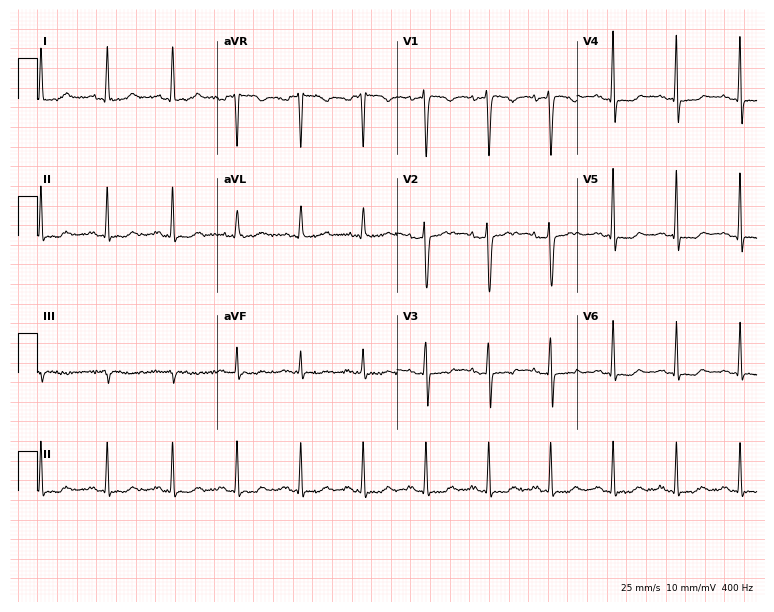
12-lead ECG (7.3-second recording at 400 Hz) from a 36-year-old woman. Screened for six findings — first-degree AV block, right bundle branch block, left bundle branch block, sinus bradycardia, atrial fibrillation, sinus tachycardia — none is recorded.